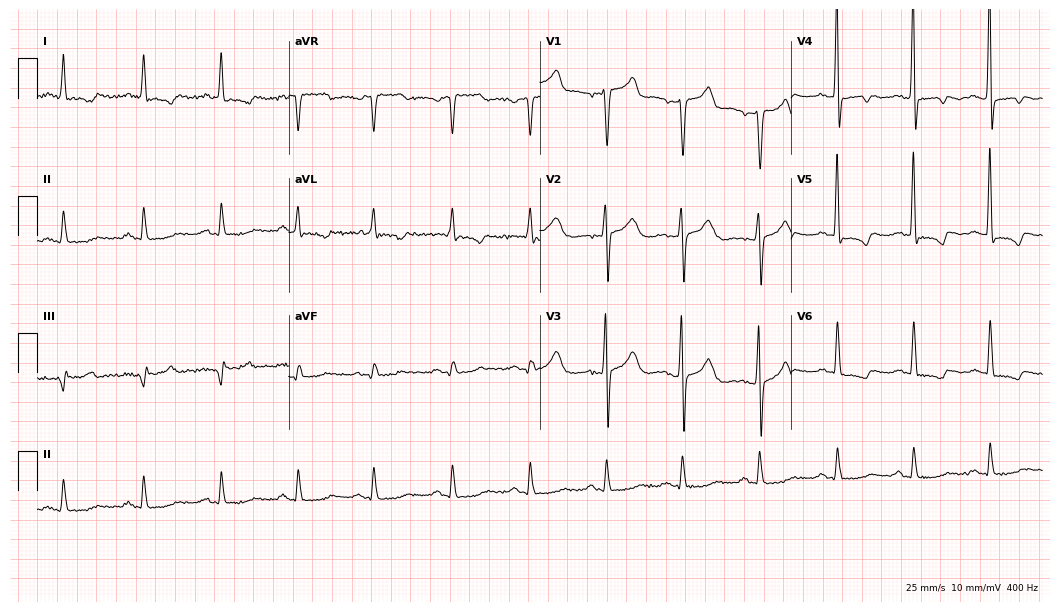
12-lead ECG from a man, 64 years old (10.2-second recording at 400 Hz). Recorded interpretation: within normal limits.